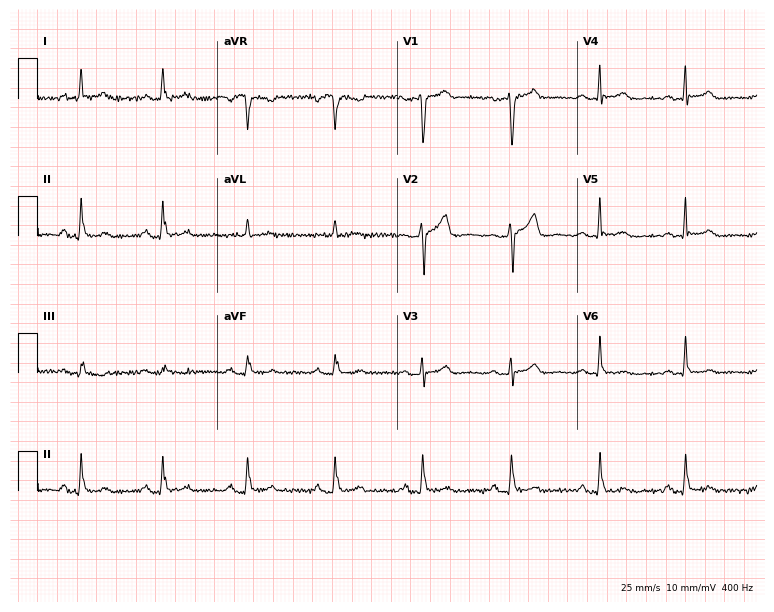
Standard 12-lead ECG recorded from a 56-year-old female patient. Read as a normal ECG.